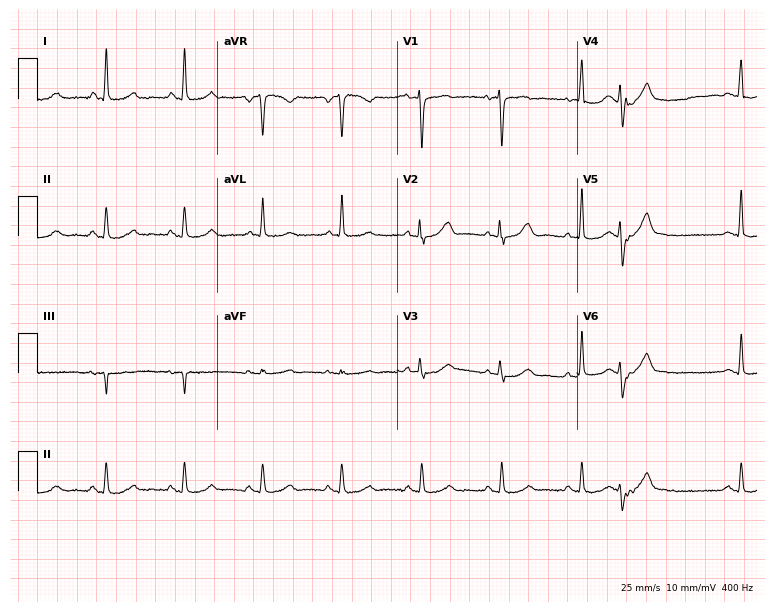
ECG — a female, 62 years old. Screened for six findings — first-degree AV block, right bundle branch block (RBBB), left bundle branch block (LBBB), sinus bradycardia, atrial fibrillation (AF), sinus tachycardia — none is recorded. Other findings, if any, are not listed.